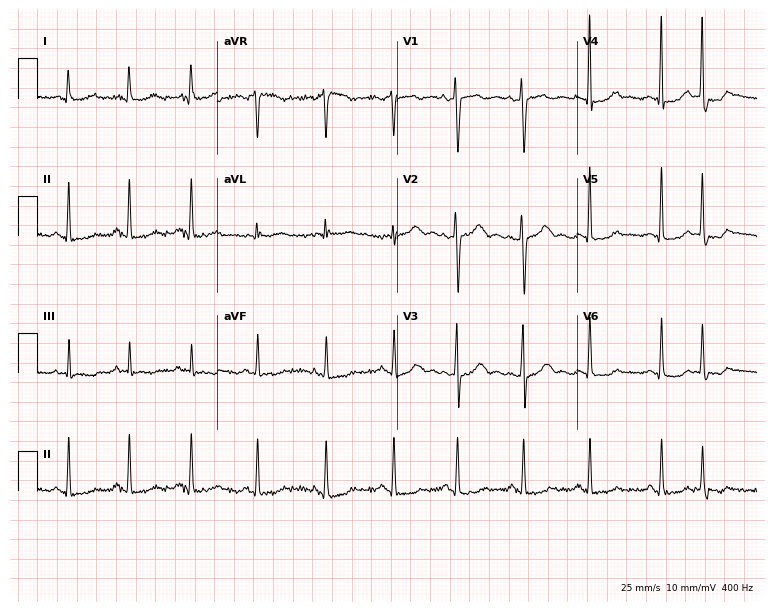
Electrocardiogram, a woman, 31 years old. Of the six screened findings (first-degree AV block, right bundle branch block, left bundle branch block, sinus bradycardia, atrial fibrillation, sinus tachycardia), none is recorded.